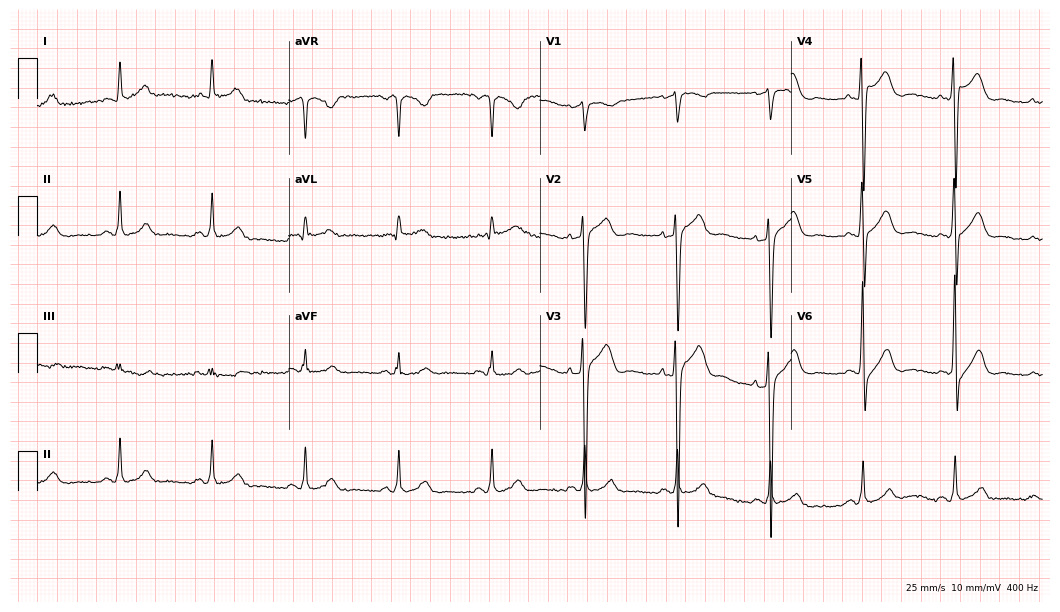
ECG — a male patient, 58 years old. Labelled as a normal ECG.